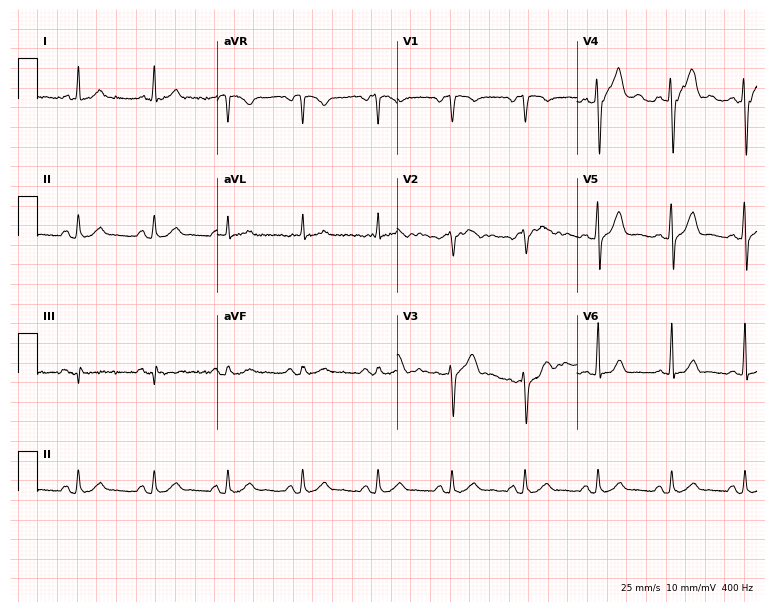
12-lead ECG (7.3-second recording at 400 Hz) from a man, 45 years old. Screened for six findings — first-degree AV block, right bundle branch block, left bundle branch block, sinus bradycardia, atrial fibrillation, sinus tachycardia — none is recorded.